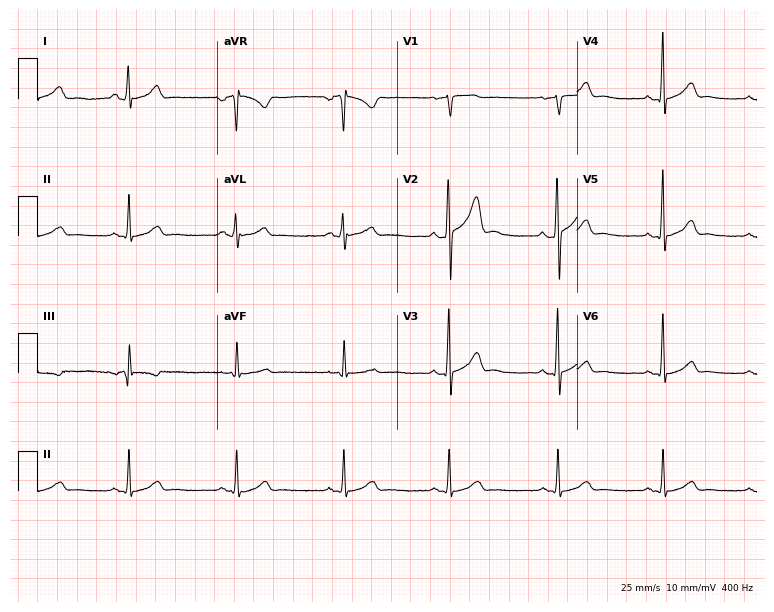
Electrocardiogram, a male, 30 years old. Overall reading on record: normal ECG.